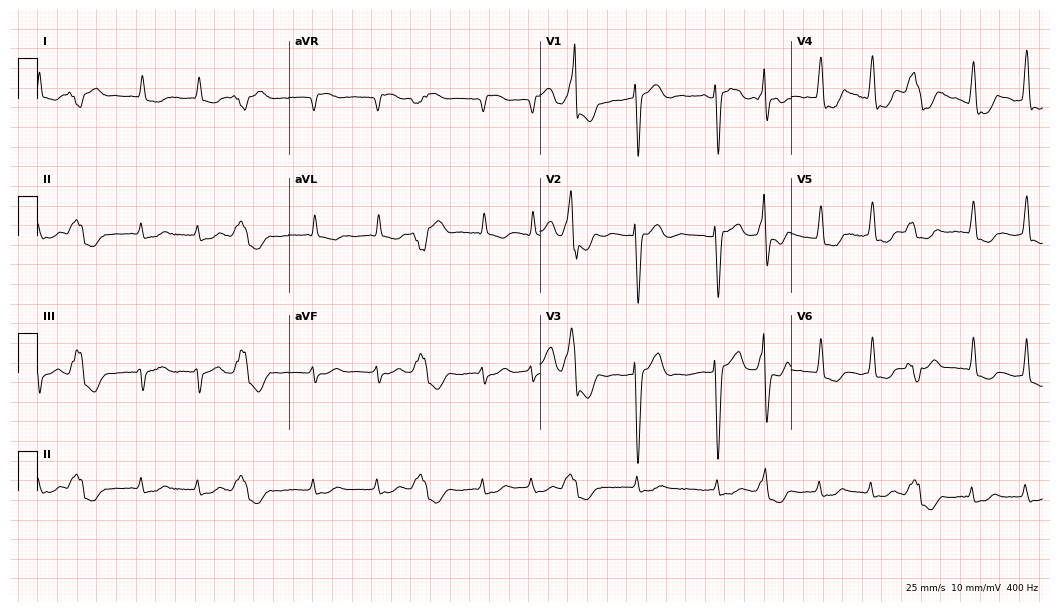
12-lead ECG from an 81-year-old female patient (10.2-second recording at 400 Hz). Shows atrial fibrillation.